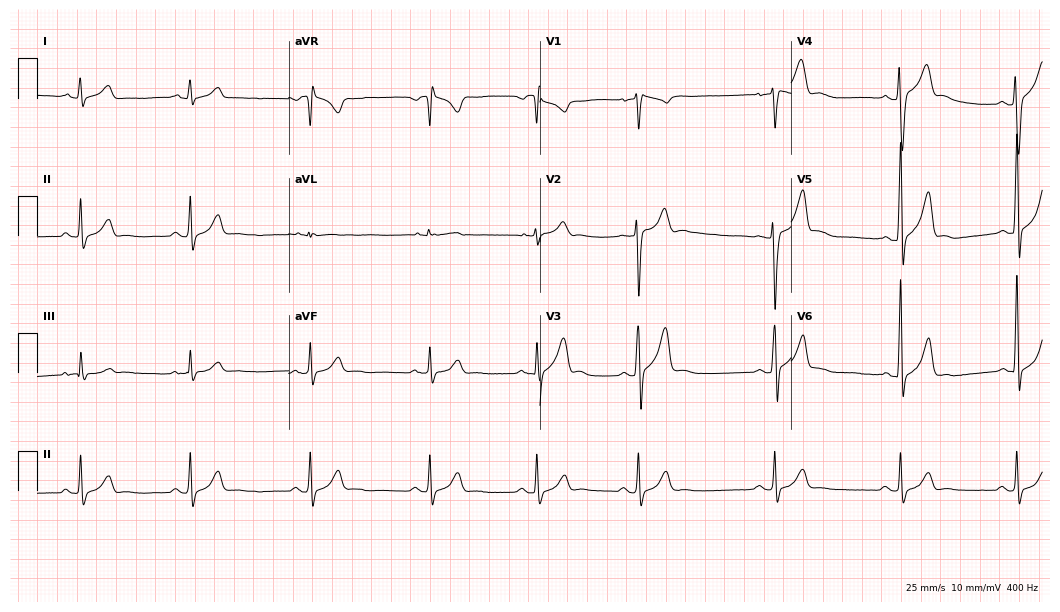
12-lead ECG from a 28-year-old male patient (10.2-second recording at 400 Hz). Recorded interpretation: within normal limits.